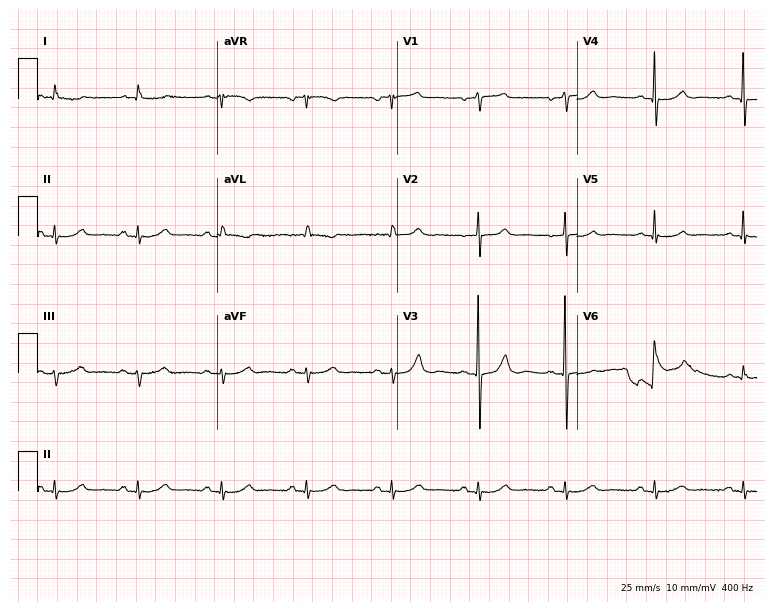
Resting 12-lead electrocardiogram (7.3-second recording at 400 Hz). Patient: a 78-year-old woman. None of these six findings is recorded: first-degree AV block, right bundle branch block, left bundle branch block, sinus bradycardia, atrial fibrillation, sinus tachycardia. Only these six findings were labelled.